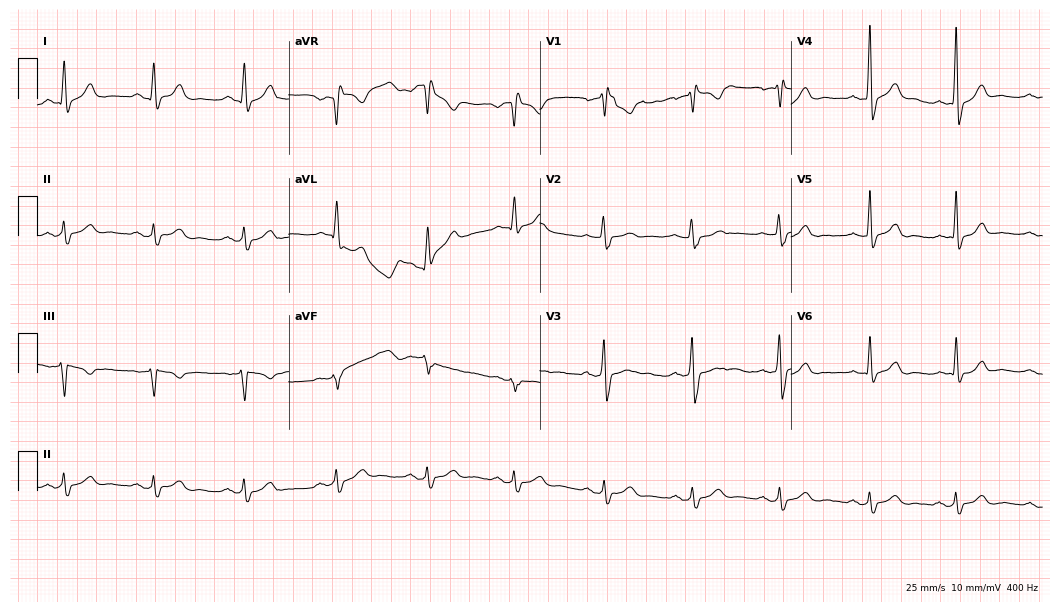
Electrocardiogram, a 36-year-old man. Of the six screened findings (first-degree AV block, right bundle branch block (RBBB), left bundle branch block (LBBB), sinus bradycardia, atrial fibrillation (AF), sinus tachycardia), none is recorded. Other findings, if any, are not listed.